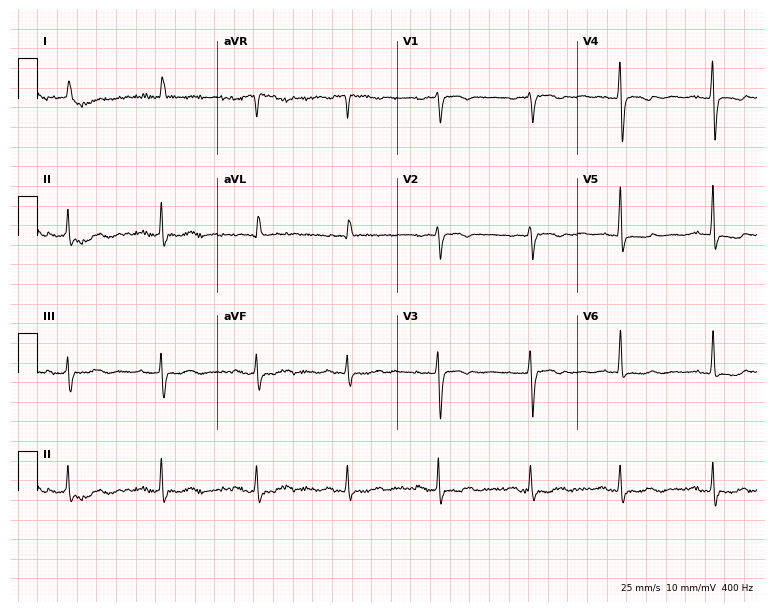
12-lead ECG from an 82-year-old female patient. No first-degree AV block, right bundle branch block (RBBB), left bundle branch block (LBBB), sinus bradycardia, atrial fibrillation (AF) or sinus tachycardia recorded for this tracing.